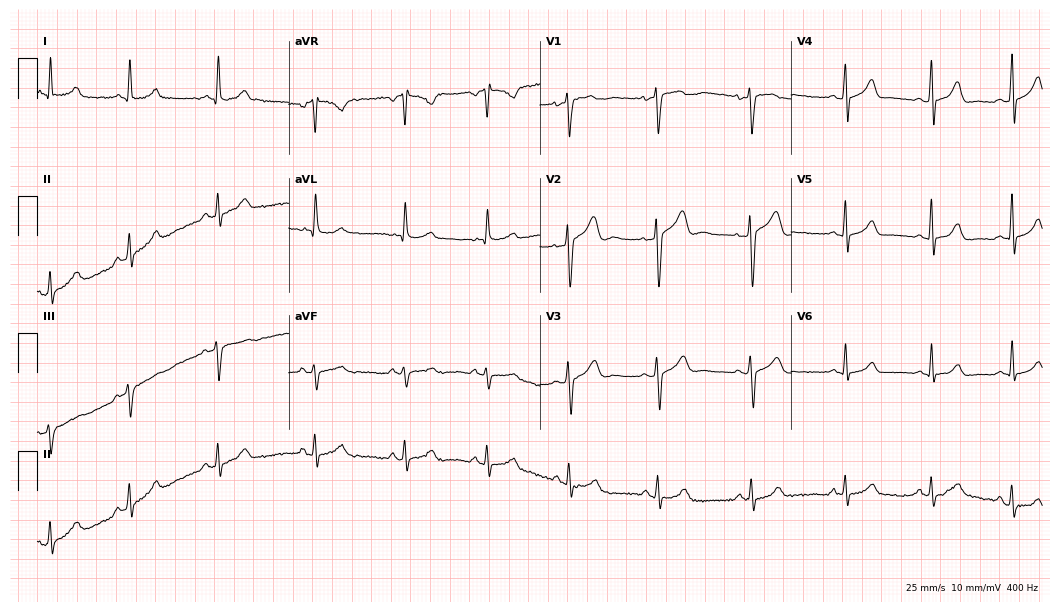
Resting 12-lead electrocardiogram (10.2-second recording at 400 Hz). Patient: a woman, 35 years old. None of these six findings is recorded: first-degree AV block, right bundle branch block, left bundle branch block, sinus bradycardia, atrial fibrillation, sinus tachycardia. Other findings, if any, are not listed.